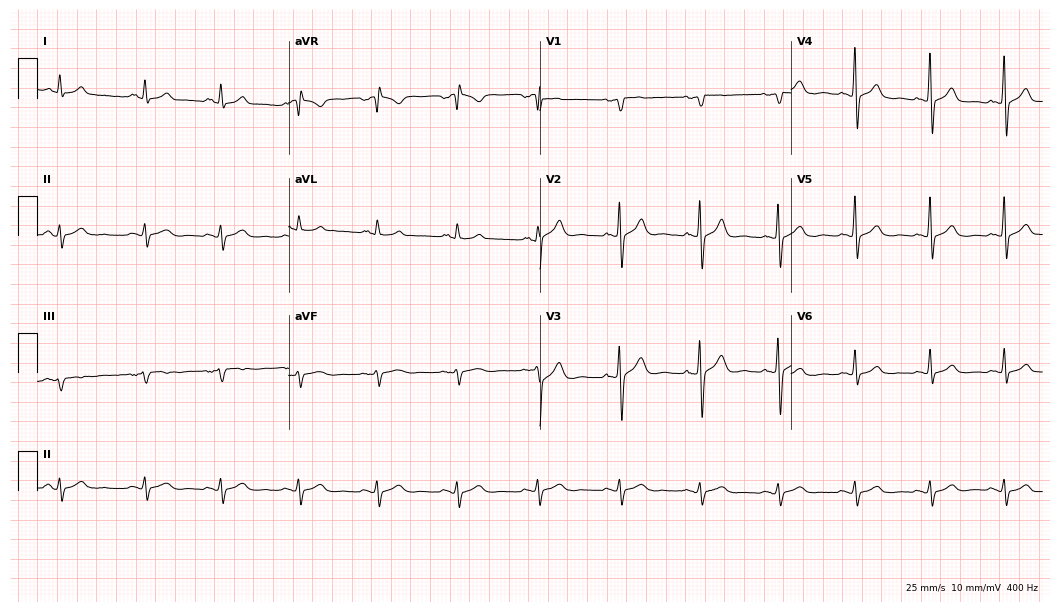
Electrocardiogram, a 53-year-old male. Of the six screened findings (first-degree AV block, right bundle branch block, left bundle branch block, sinus bradycardia, atrial fibrillation, sinus tachycardia), none is recorded.